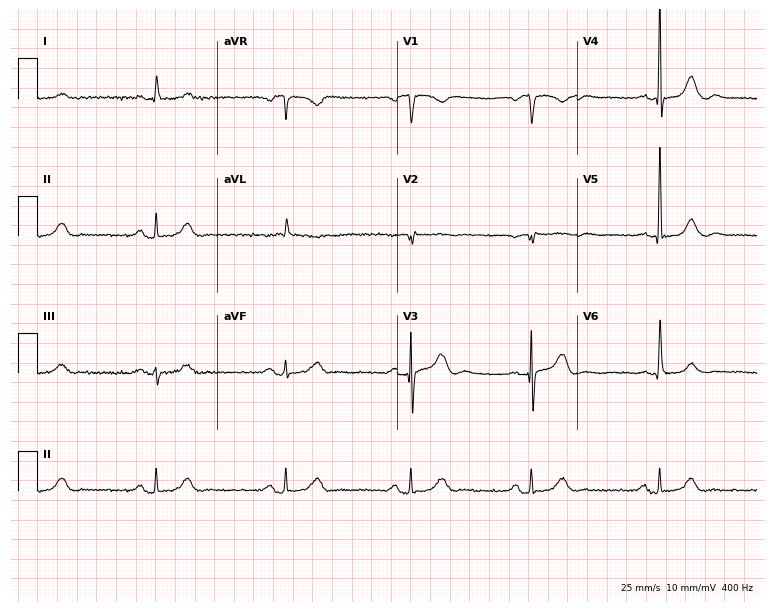
Resting 12-lead electrocardiogram. Patient: a man, 74 years old. The tracing shows sinus bradycardia (a sinus rate of 50 beats per minute or less).